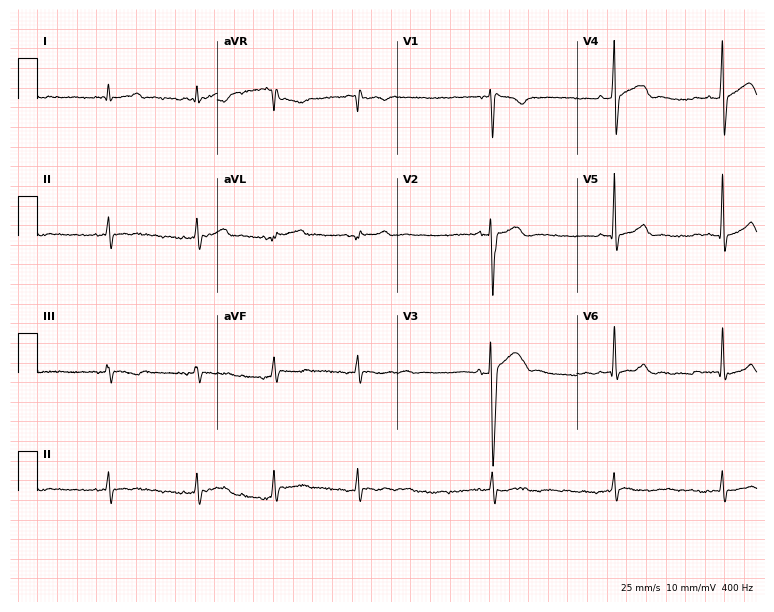
12-lead ECG (7.3-second recording at 400 Hz) from a male, 41 years old. Screened for six findings — first-degree AV block, right bundle branch block, left bundle branch block, sinus bradycardia, atrial fibrillation, sinus tachycardia — none is recorded.